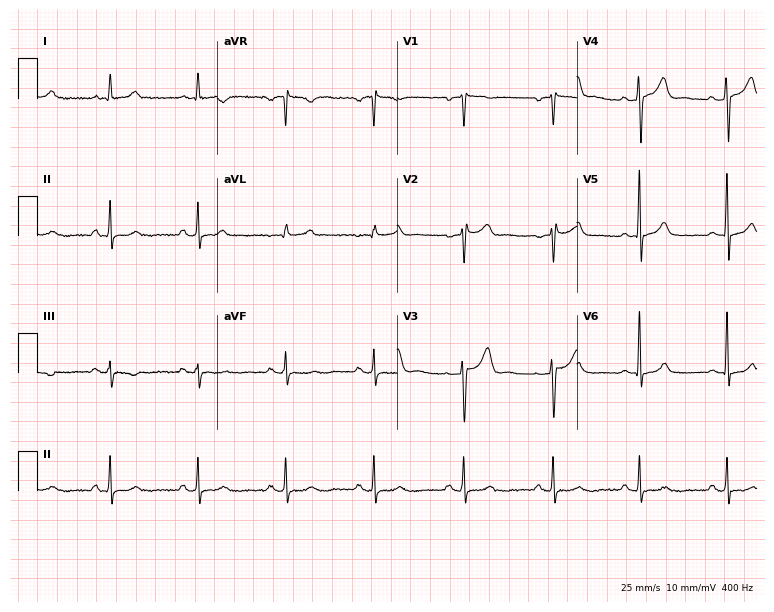
Standard 12-lead ECG recorded from a 46-year-old male (7.3-second recording at 400 Hz). Read as a normal ECG.